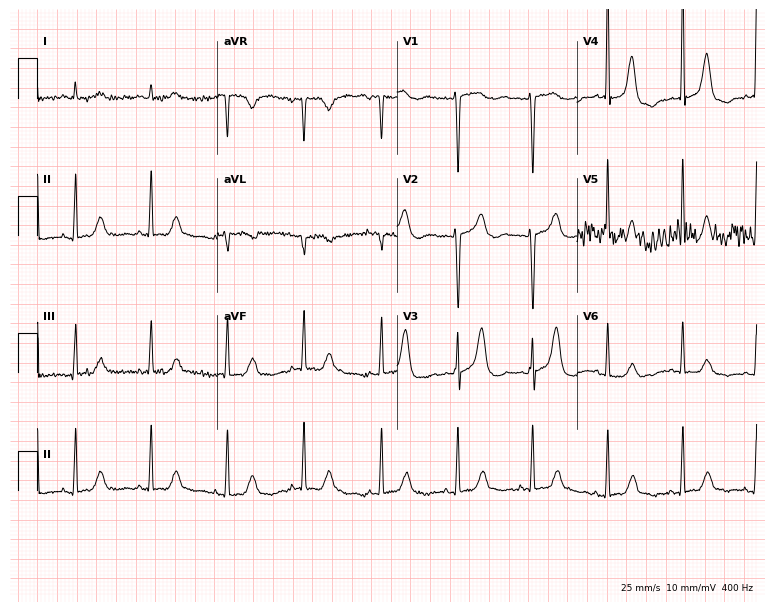
Standard 12-lead ECG recorded from a woman, 53 years old (7.3-second recording at 400 Hz). None of these six findings is recorded: first-degree AV block, right bundle branch block (RBBB), left bundle branch block (LBBB), sinus bradycardia, atrial fibrillation (AF), sinus tachycardia. Other findings, if any, are not listed.